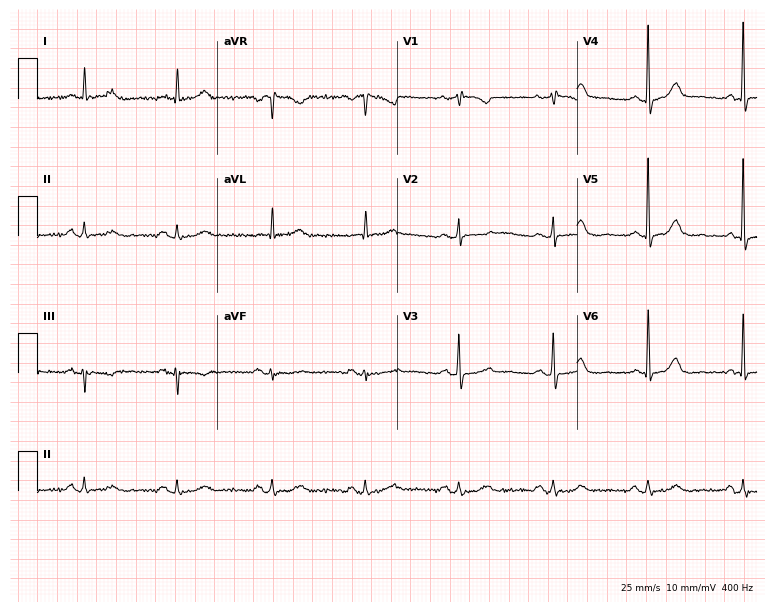
12-lead ECG from a 73-year-old female patient (7.3-second recording at 400 Hz). No first-degree AV block, right bundle branch block, left bundle branch block, sinus bradycardia, atrial fibrillation or sinus tachycardia recorded for this tracing. Only these six findings were labelled.